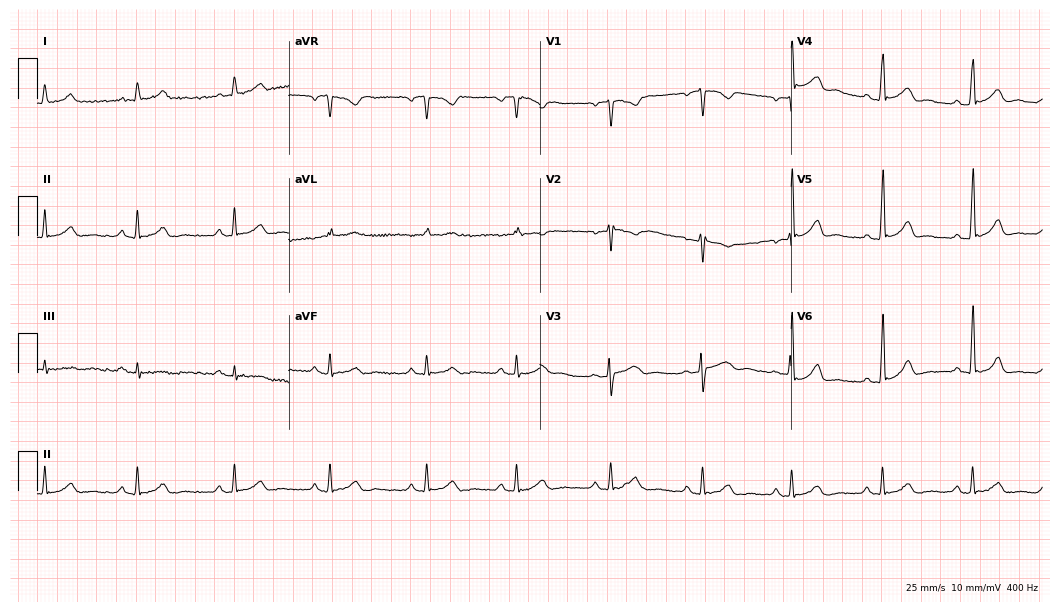
ECG — a woman, 41 years old. Labelled as a normal ECG.